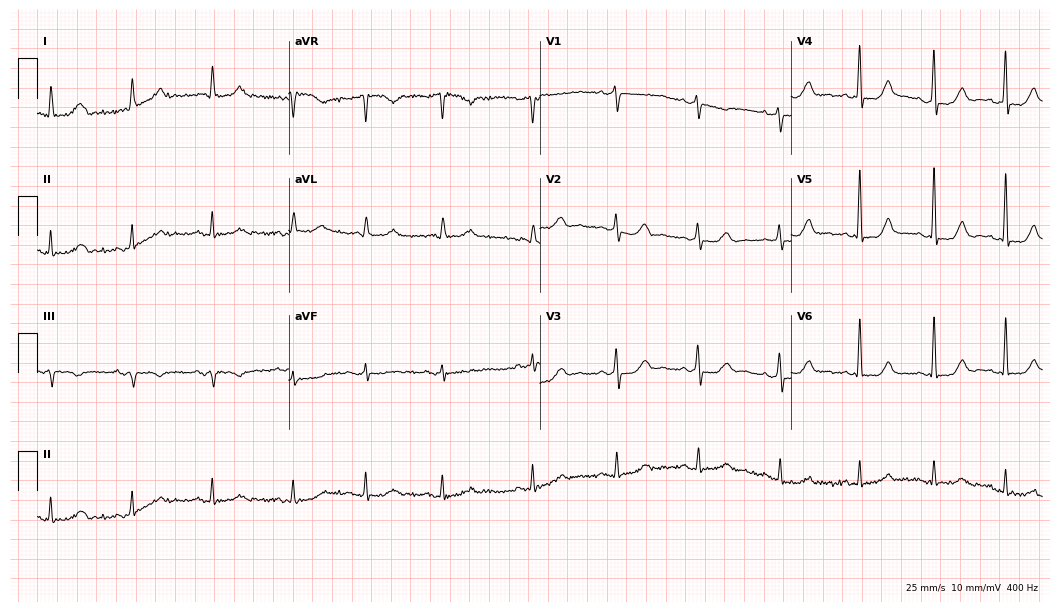
Electrocardiogram (10.2-second recording at 400 Hz), a 62-year-old woman. Overall reading on record: normal ECG.